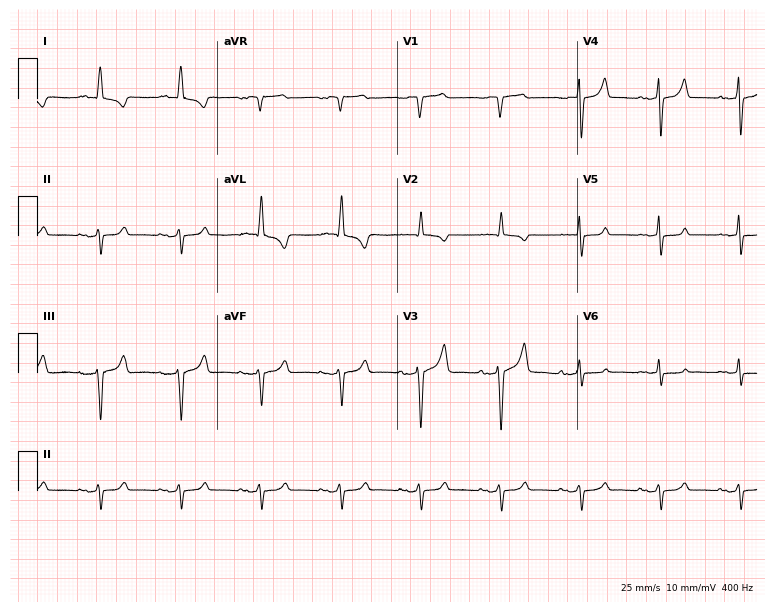
Standard 12-lead ECG recorded from a 71-year-old female patient. Read as a normal ECG.